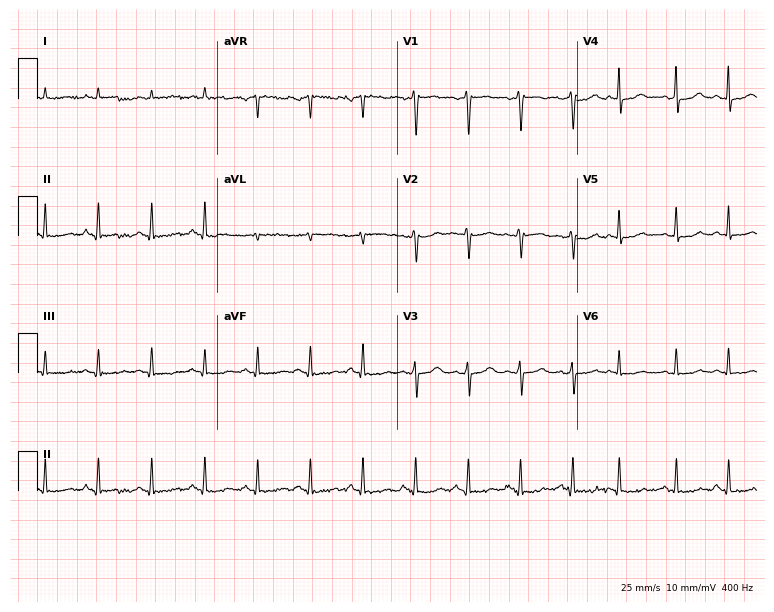
Resting 12-lead electrocardiogram. Patient: an 84-year-old male. The tracing shows sinus tachycardia (a sinus rate of 100 beats per minute or more).